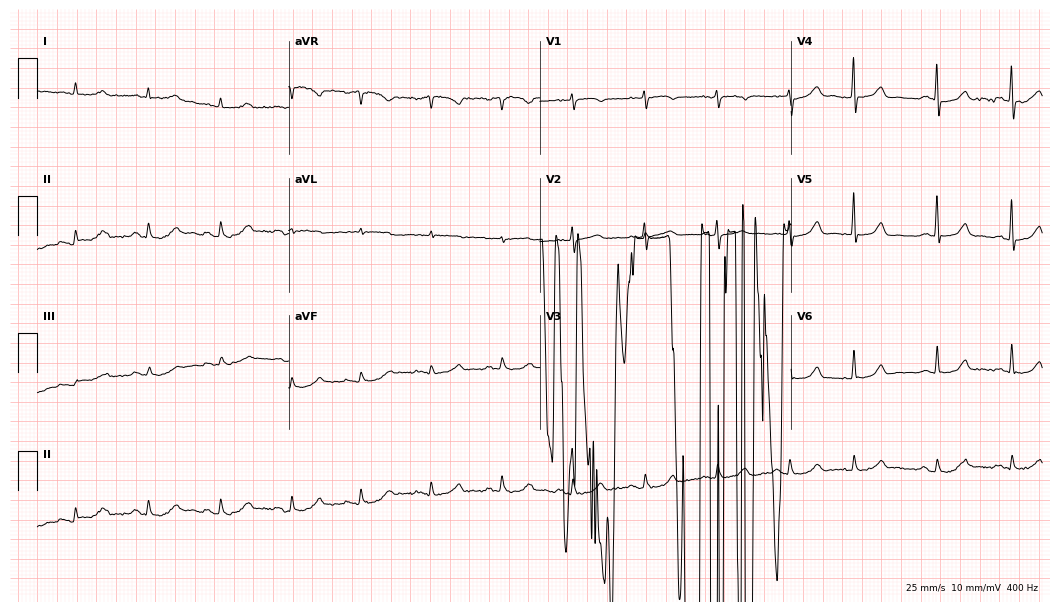
Standard 12-lead ECG recorded from a 62-year-old female patient. None of these six findings is recorded: first-degree AV block, right bundle branch block, left bundle branch block, sinus bradycardia, atrial fibrillation, sinus tachycardia. Only these six findings were labelled.